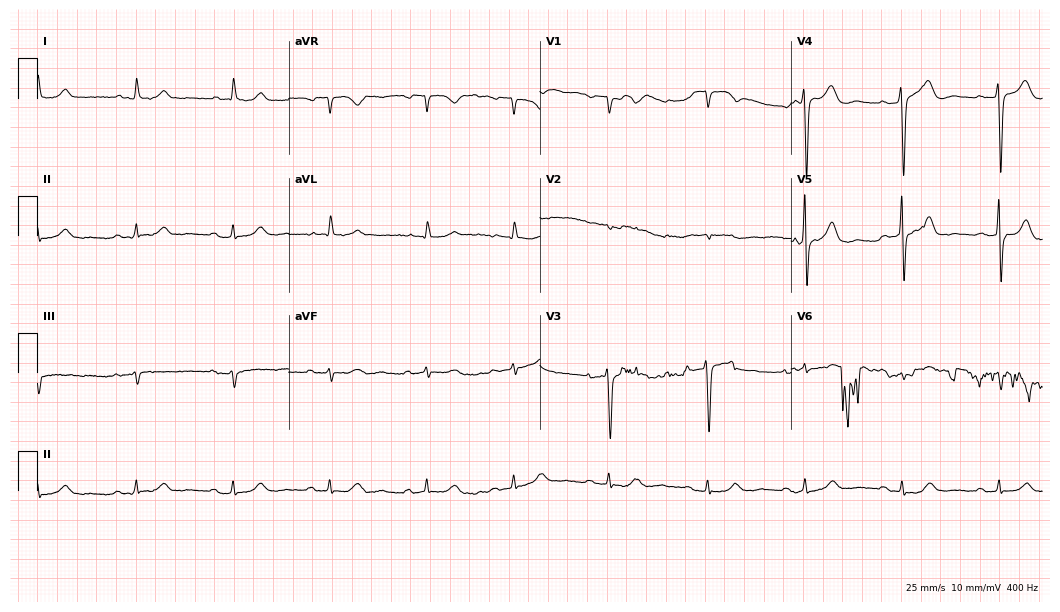
ECG — an 89-year-old woman. Screened for six findings — first-degree AV block, right bundle branch block (RBBB), left bundle branch block (LBBB), sinus bradycardia, atrial fibrillation (AF), sinus tachycardia — none is recorded.